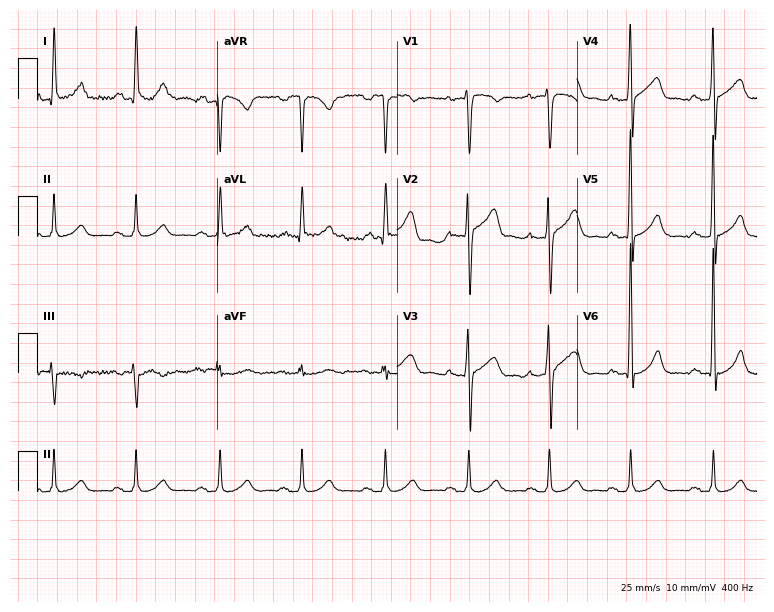
12-lead ECG from a 51-year-old male (7.3-second recording at 400 Hz). Recorded interpretation: within normal limits.